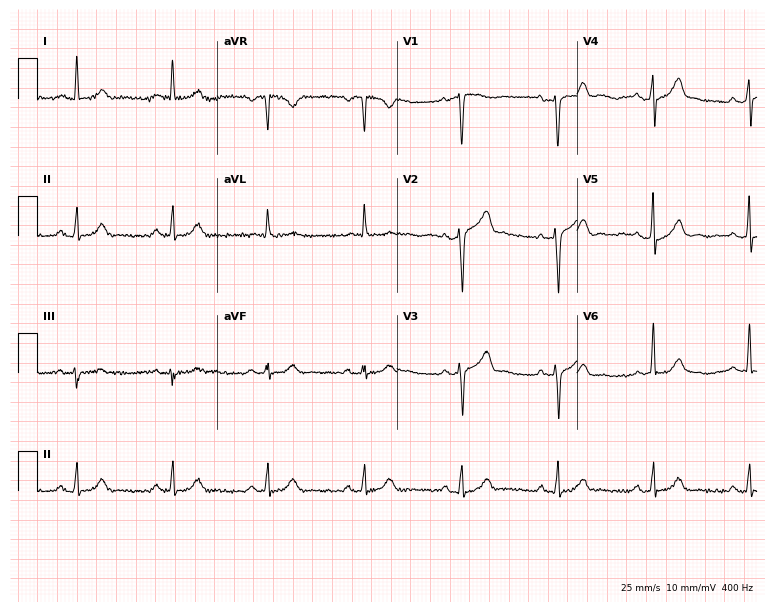
Standard 12-lead ECG recorded from a man, 69 years old (7.3-second recording at 400 Hz). Read as a normal ECG.